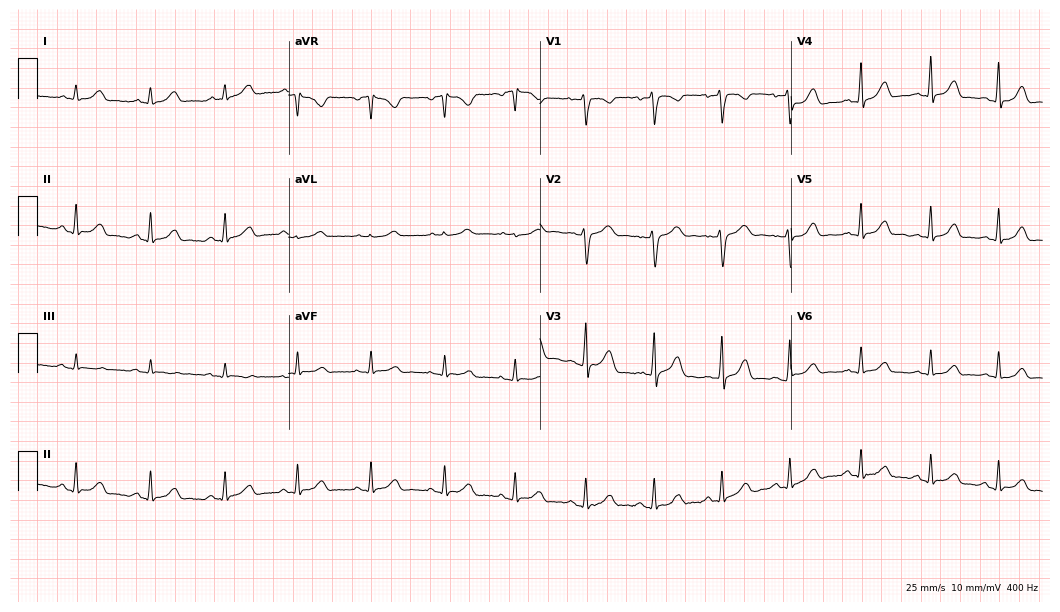
12-lead ECG from a woman, 25 years old. Recorded interpretation: within normal limits.